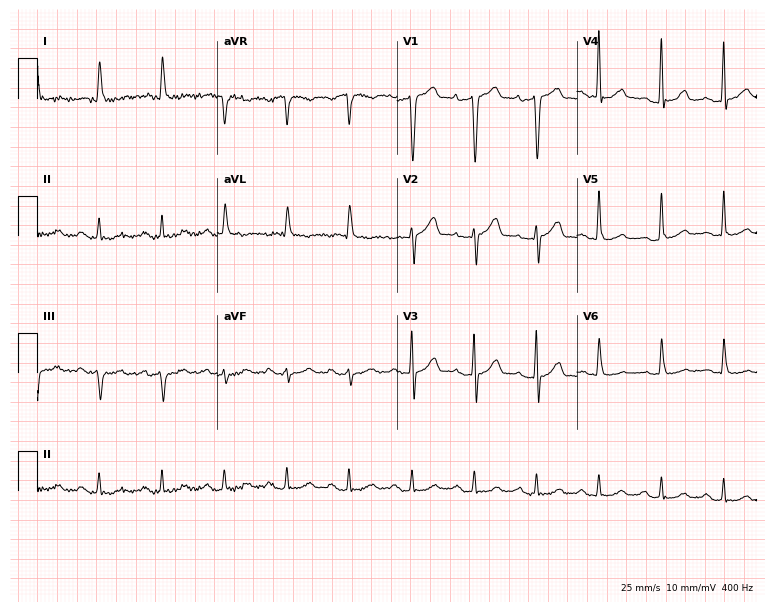
Standard 12-lead ECG recorded from an 83-year-old man. None of these six findings is recorded: first-degree AV block, right bundle branch block, left bundle branch block, sinus bradycardia, atrial fibrillation, sinus tachycardia.